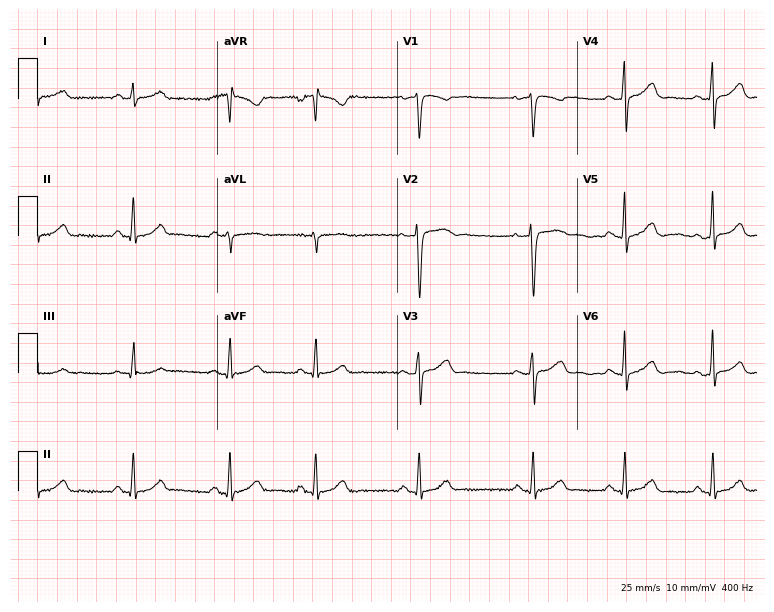
Electrocardiogram (7.3-second recording at 400 Hz), a 35-year-old woman. Overall reading on record: normal ECG.